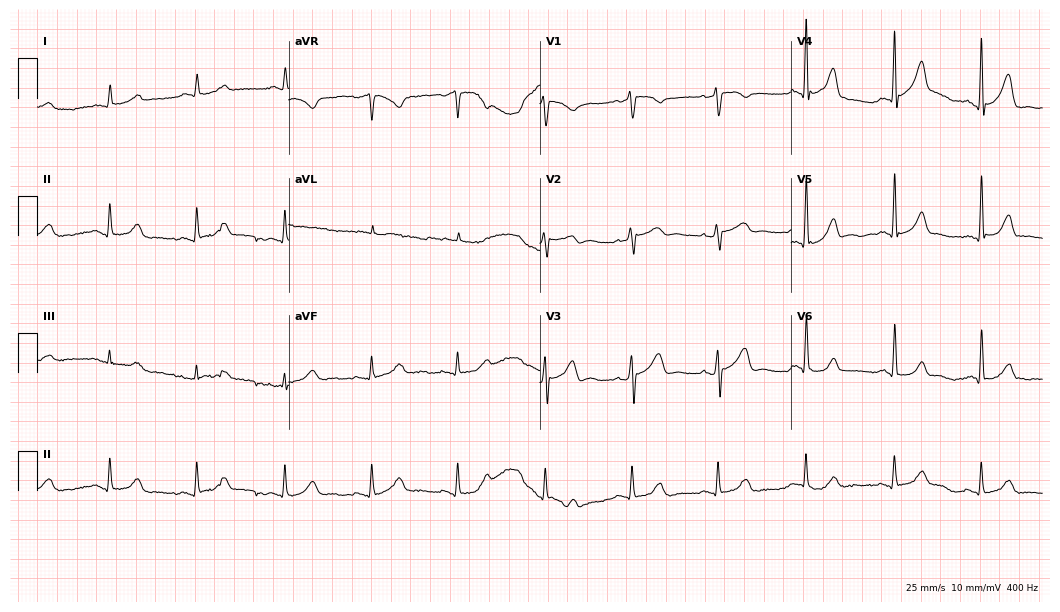
12-lead ECG from a 71-year-old male patient. Labelled as a normal ECG.